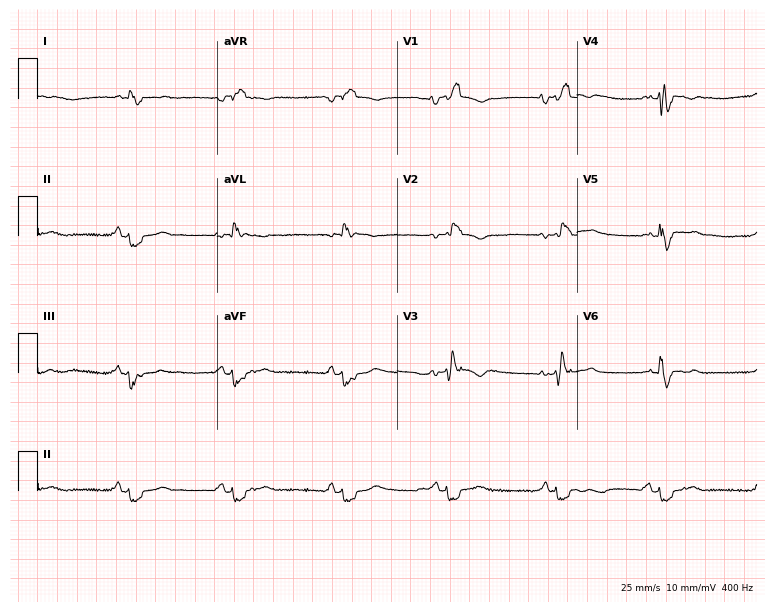
Resting 12-lead electrocardiogram (7.3-second recording at 400 Hz). Patient: a male, 63 years old. The tracing shows right bundle branch block (RBBB).